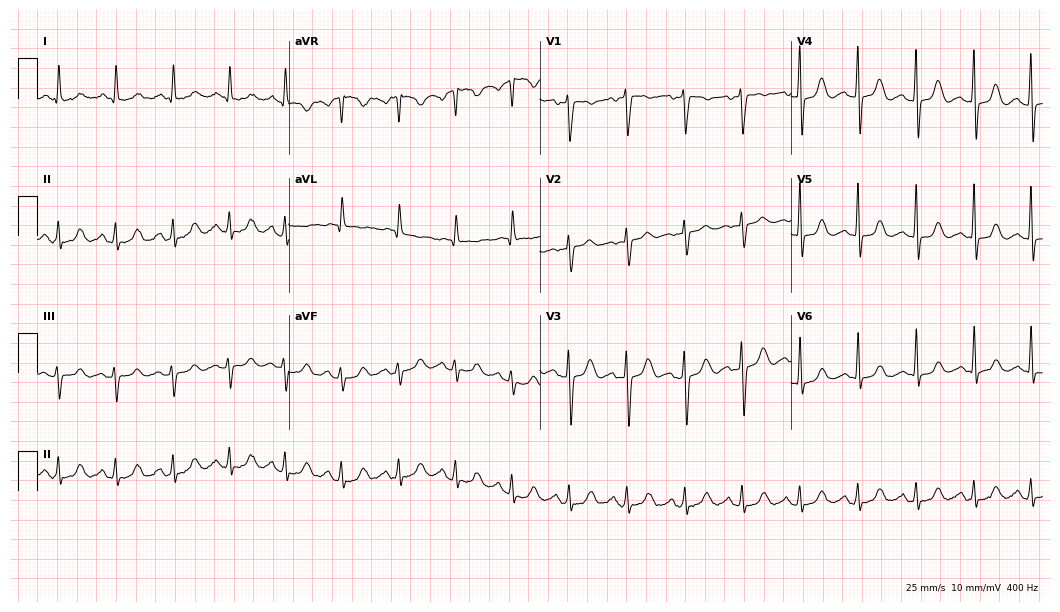
12-lead ECG (10.2-second recording at 400 Hz) from a woman, 39 years old. Labelled as a normal ECG.